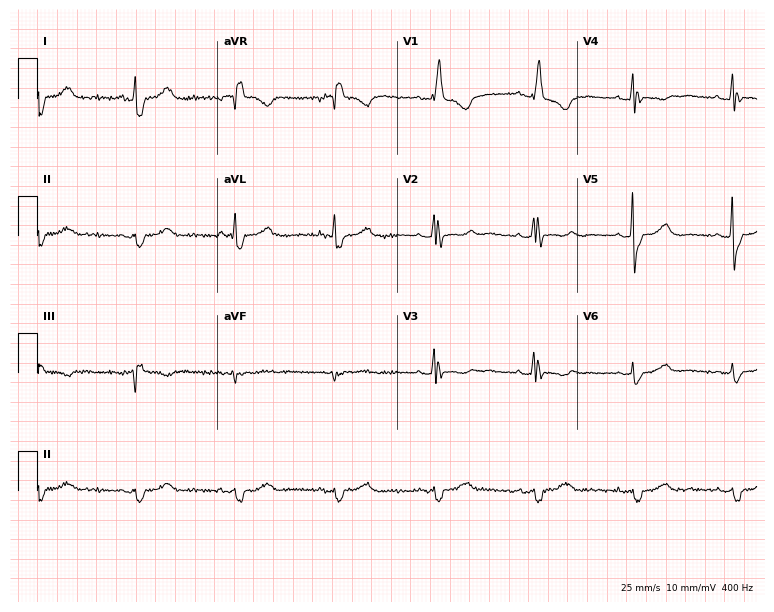
Electrocardiogram (7.3-second recording at 400 Hz), a woman, 70 years old. Interpretation includes right bundle branch block.